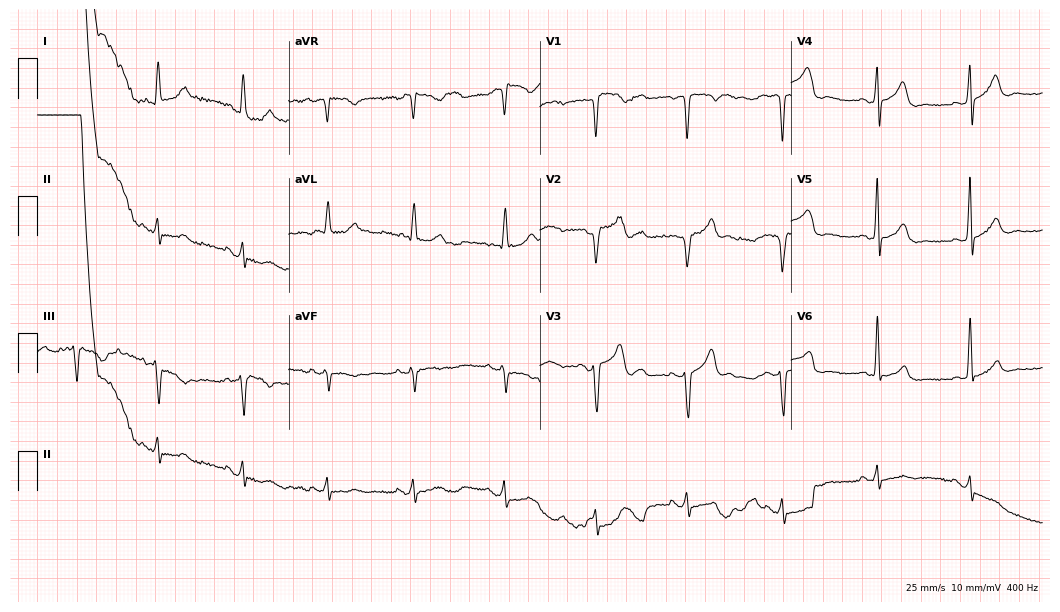
ECG — a 33-year-old man. Screened for six findings — first-degree AV block, right bundle branch block, left bundle branch block, sinus bradycardia, atrial fibrillation, sinus tachycardia — none is recorded.